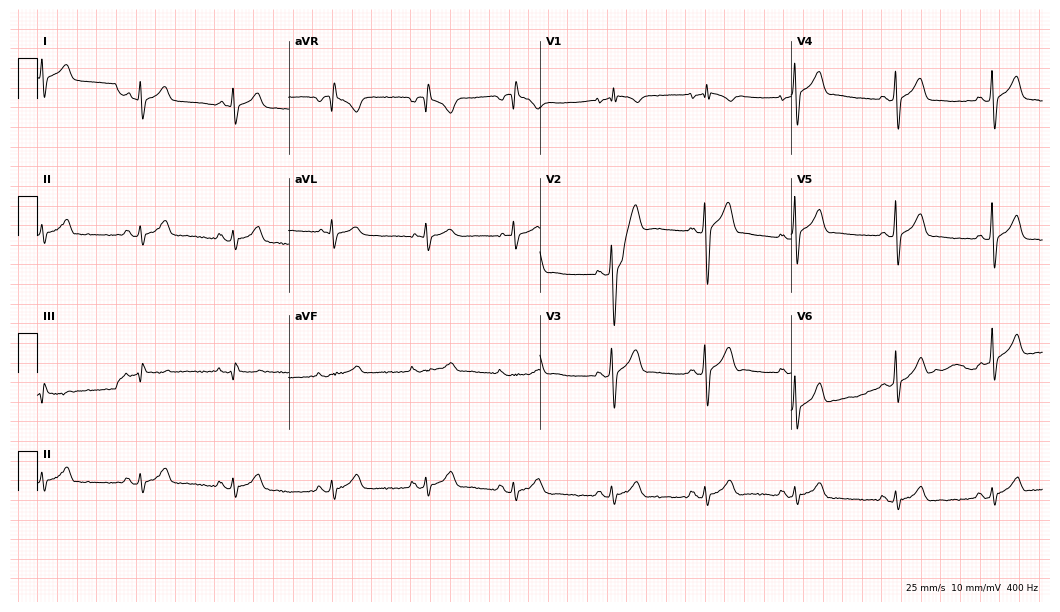
ECG — a male patient, 26 years old. Labelled as a normal ECG.